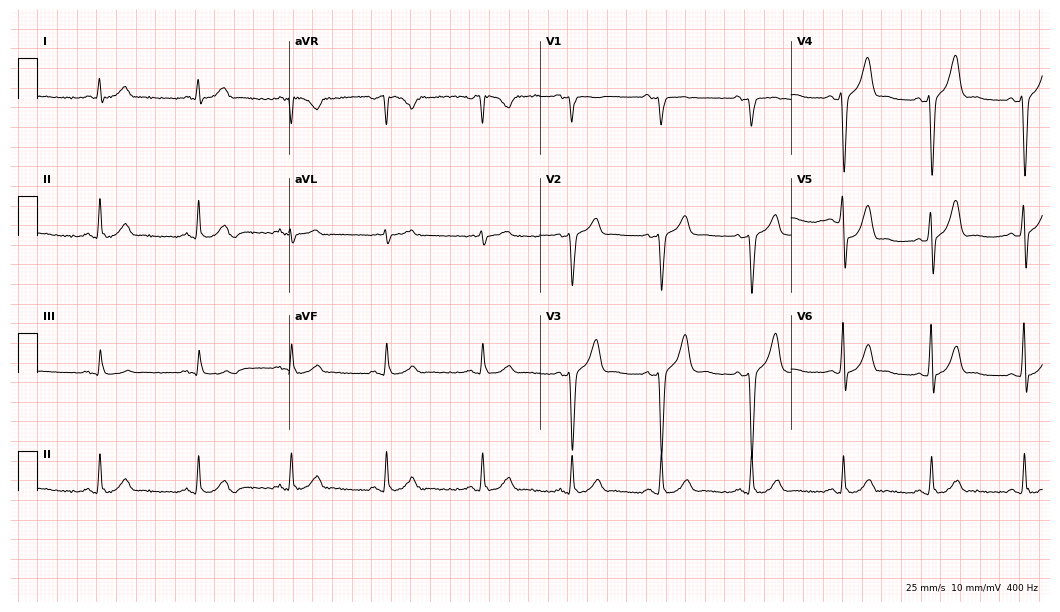
Electrocardiogram, a 34-year-old man. Overall reading on record: normal ECG.